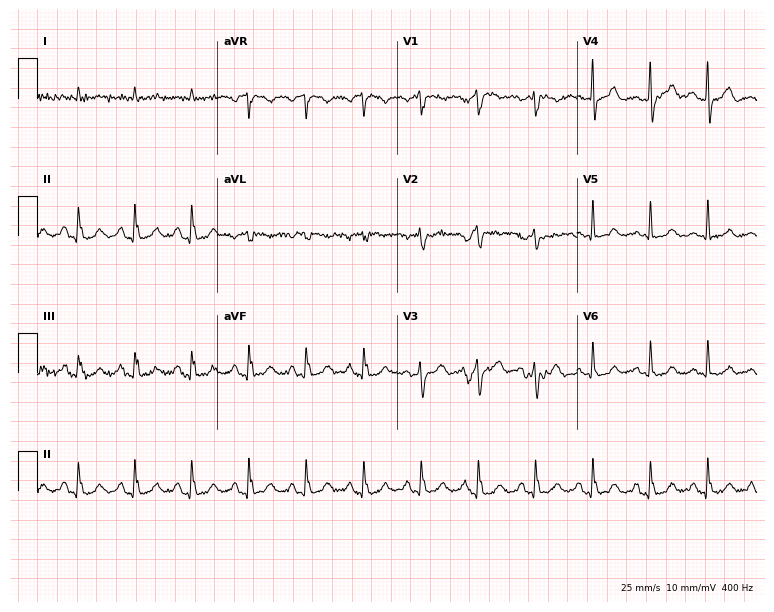
ECG — a male patient, 85 years old. Screened for six findings — first-degree AV block, right bundle branch block (RBBB), left bundle branch block (LBBB), sinus bradycardia, atrial fibrillation (AF), sinus tachycardia — none is recorded.